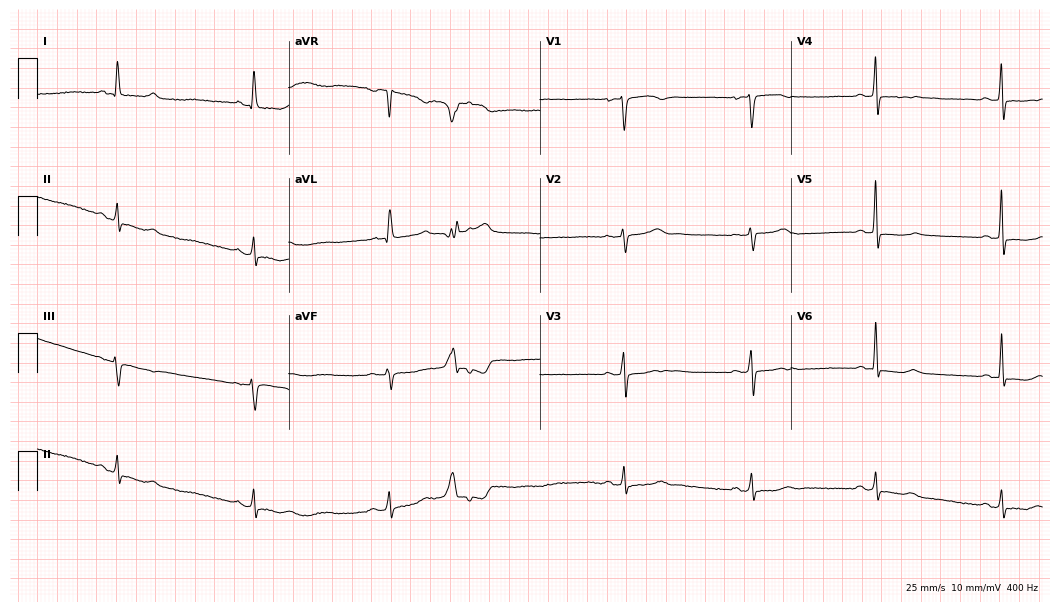
Standard 12-lead ECG recorded from a female, 75 years old (10.2-second recording at 400 Hz). The tracing shows sinus bradycardia (a sinus rate of 50 beats per minute or less).